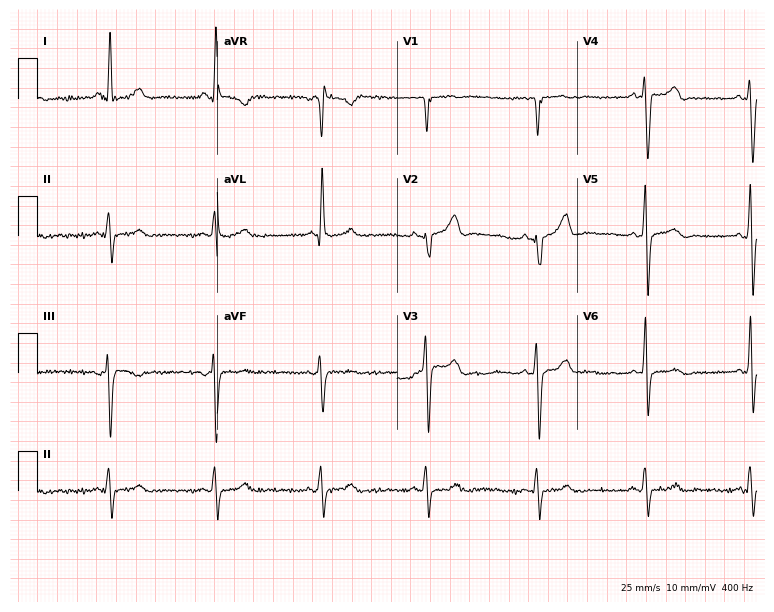
12-lead ECG from a male, 48 years old. Screened for six findings — first-degree AV block, right bundle branch block, left bundle branch block, sinus bradycardia, atrial fibrillation, sinus tachycardia — none is recorded. Only these six findings were labelled.